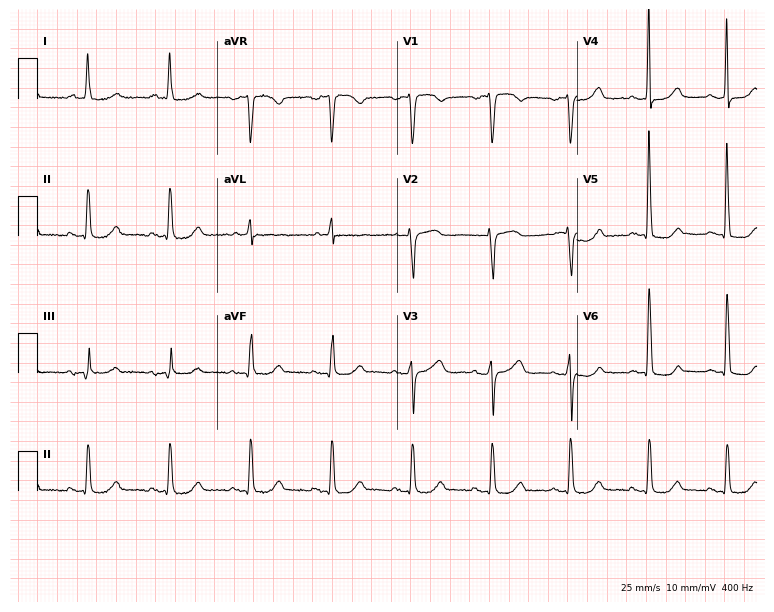
12-lead ECG (7.3-second recording at 400 Hz) from a 76-year-old female patient. Screened for six findings — first-degree AV block, right bundle branch block, left bundle branch block, sinus bradycardia, atrial fibrillation, sinus tachycardia — none is recorded. Only these six findings were labelled.